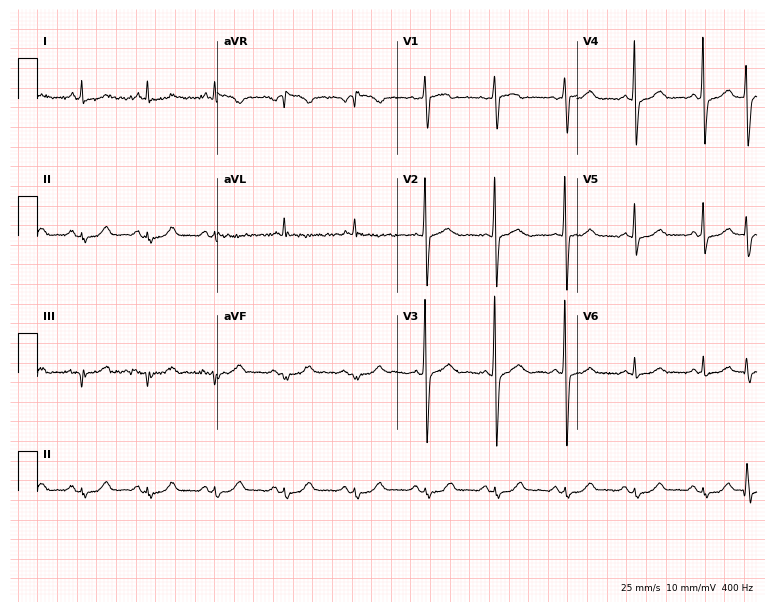
ECG — a woman, 62 years old. Screened for six findings — first-degree AV block, right bundle branch block, left bundle branch block, sinus bradycardia, atrial fibrillation, sinus tachycardia — none is recorded.